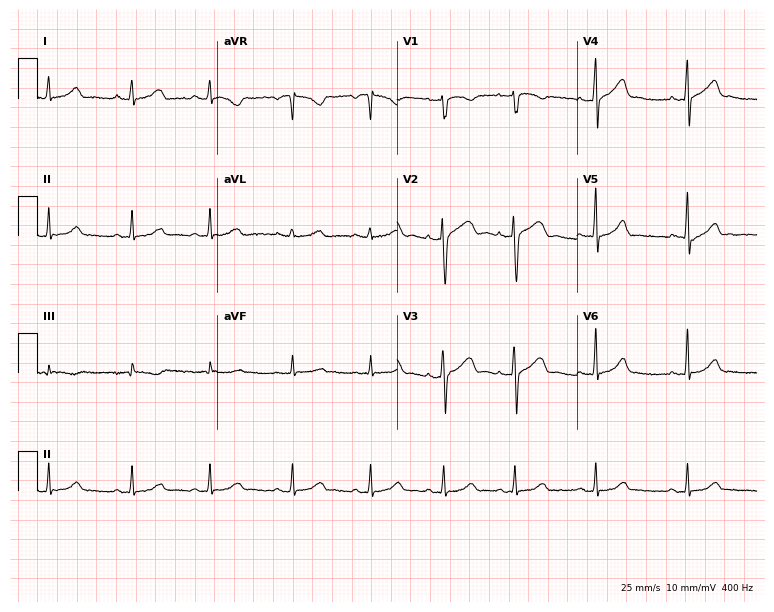
ECG — a 28-year-old female. Labelled as a normal ECG.